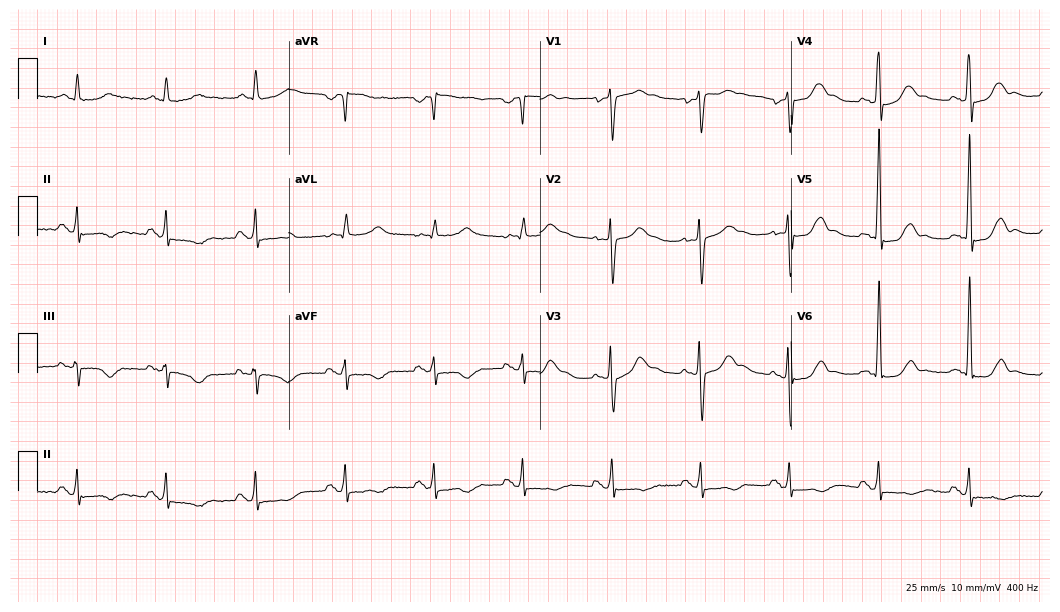
Resting 12-lead electrocardiogram. Patient: a 54-year-old man. None of these six findings is recorded: first-degree AV block, right bundle branch block, left bundle branch block, sinus bradycardia, atrial fibrillation, sinus tachycardia. Other findings, if any, are not listed.